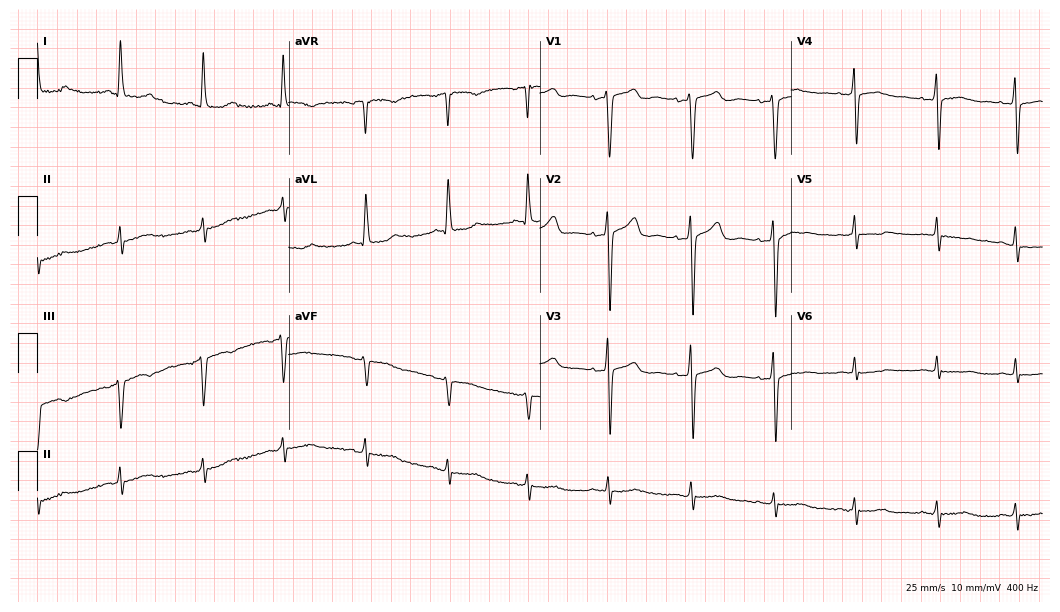
ECG (10.2-second recording at 400 Hz) — a 44-year-old female. Screened for six findings — first-degree AV block, right bundle branch block (RBBB), left bundle branch block (LBBB), sinus bradycardia, atrial fibrillation (AF), sinus tachycardia — none is recorded.